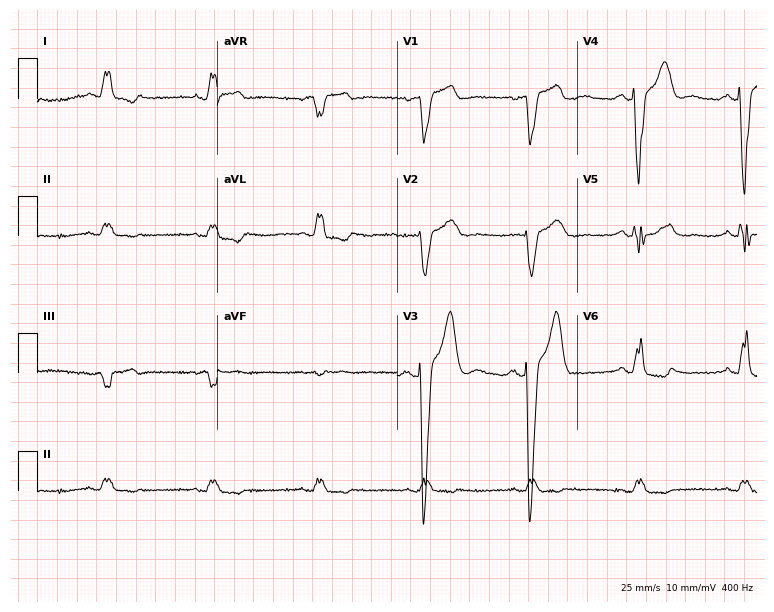
Resting 12-lead electrocardiogram. Patient: a 67-year-old male. The tracing shows left bundle branch block.